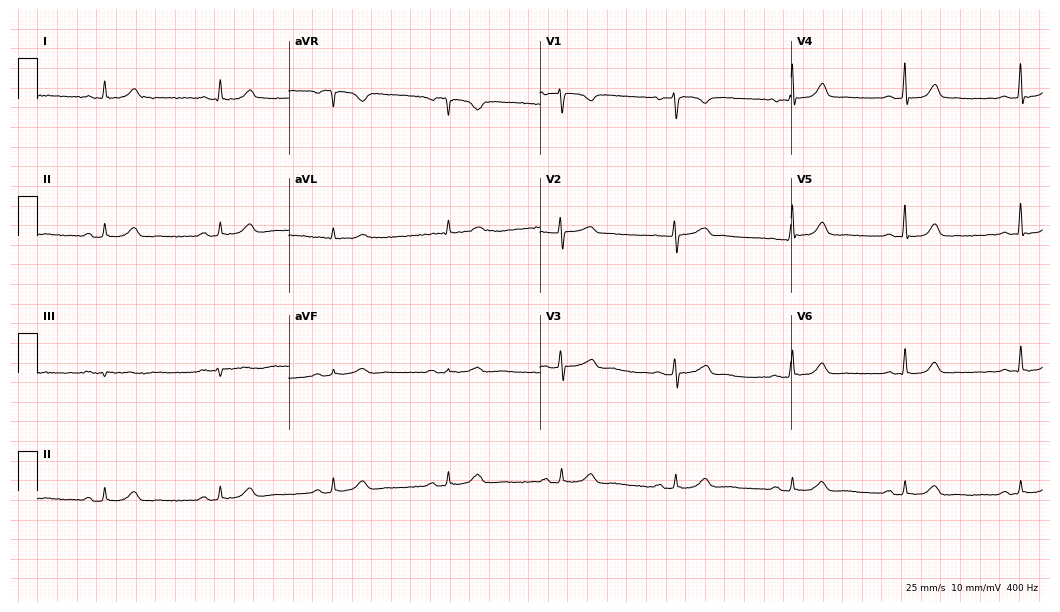
Standard 12-lead ECG recorded from a 54-year-old female (10.2-second recording at 400 Hz). Read as a normal ECG.